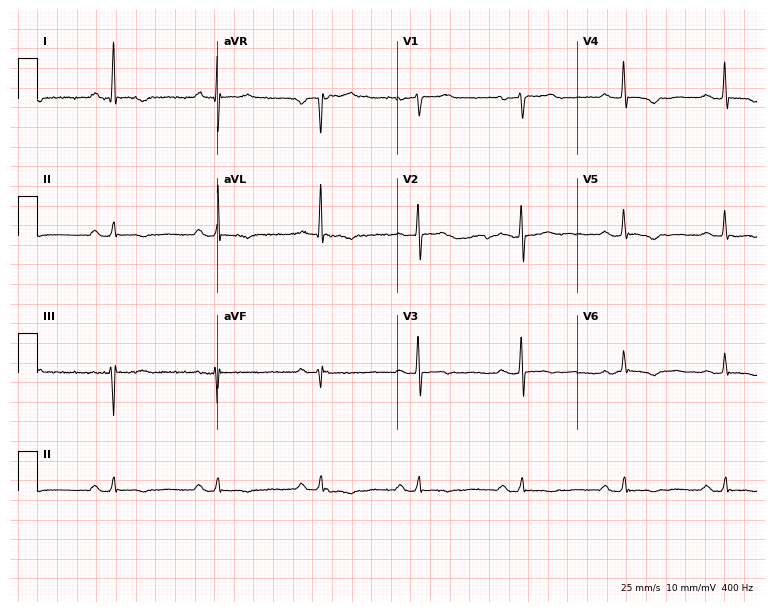
12-lead ECG (7.3-second recording at 400 Hz) from a 67-year-old female patient. Screened for six findings — first-degree AV block, right bundle branch block (RBBB), left bundle branch block (LBBB), sinus bradycardia, atrial fibrillation (AF), sinus tachycardia — none is recorded. Other findings, if any, are not listed.